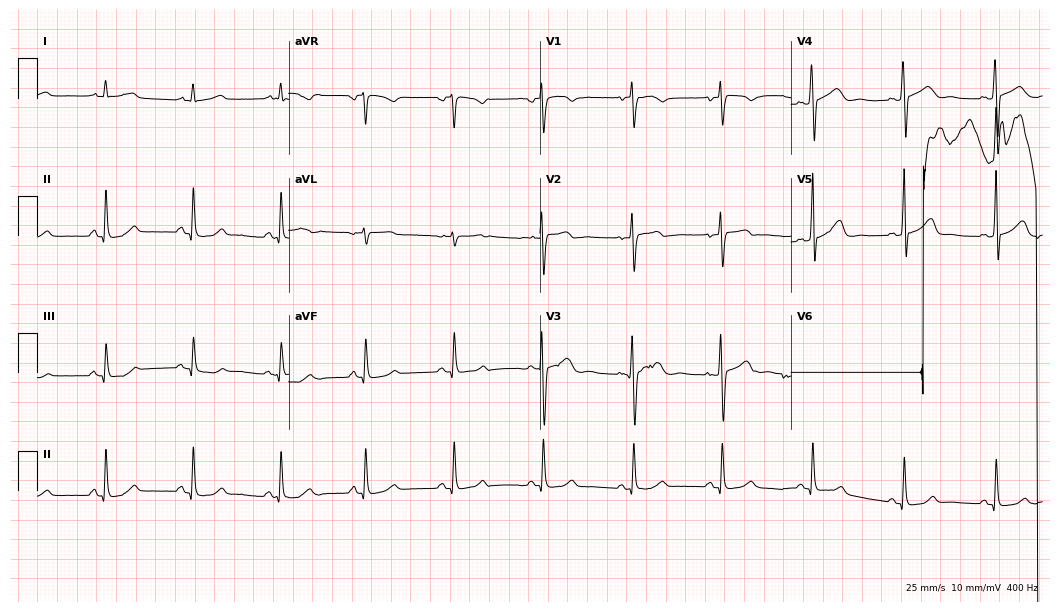
12-lead ECG from a woman, 53 years old. Labelled as a normal ECG.